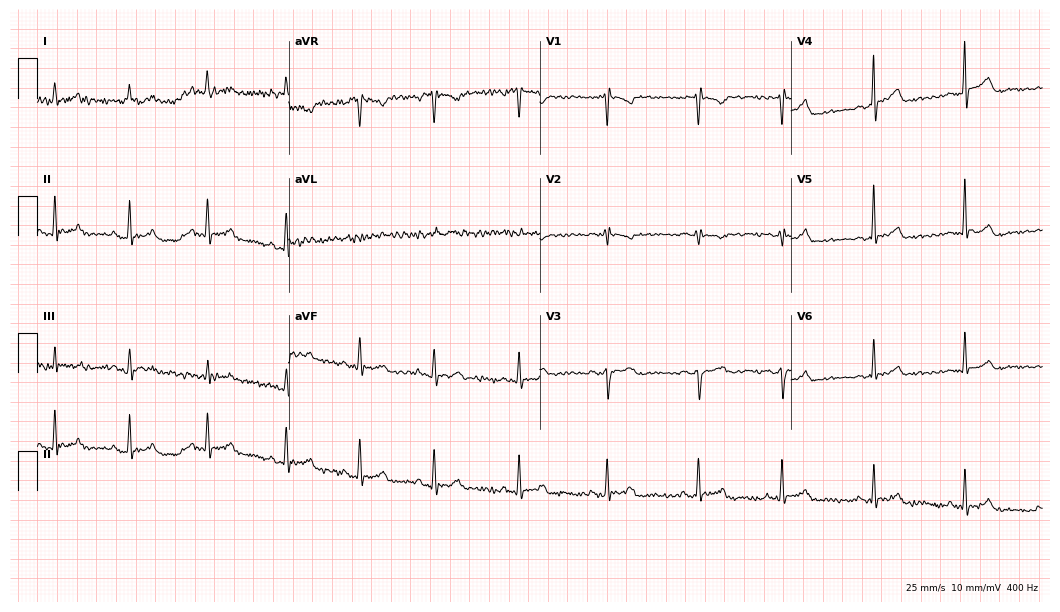
Resting 12-lead electrocardiogram. Patient: a 38-year-old female. Read as a normal ECG.